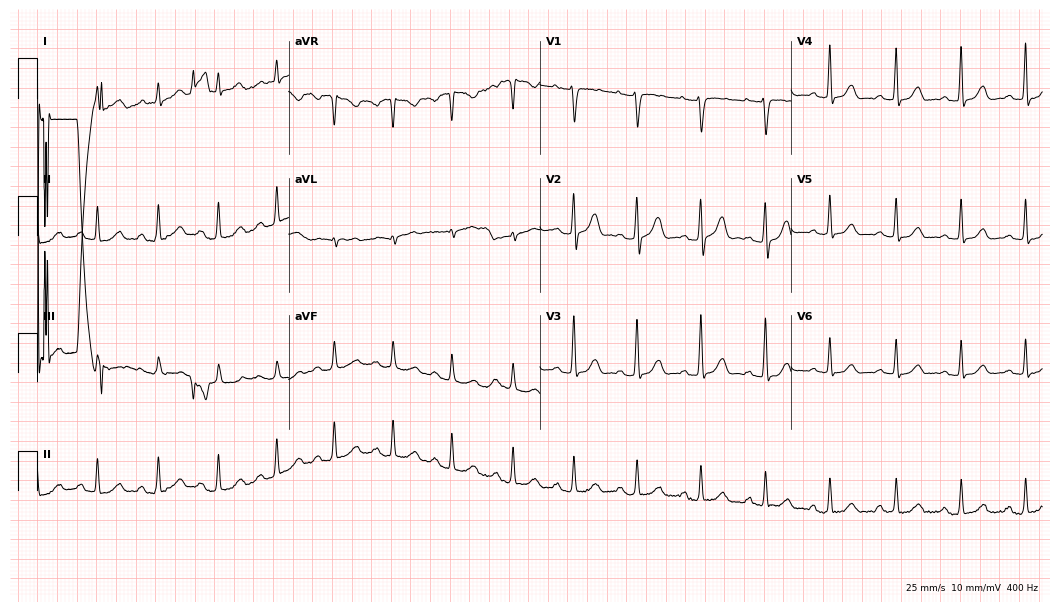
Resting 12-lead electrocardiogram (10.2-second recording at 400 Hz). Patient: a woman, 33 years old. Read as a normal ECG.